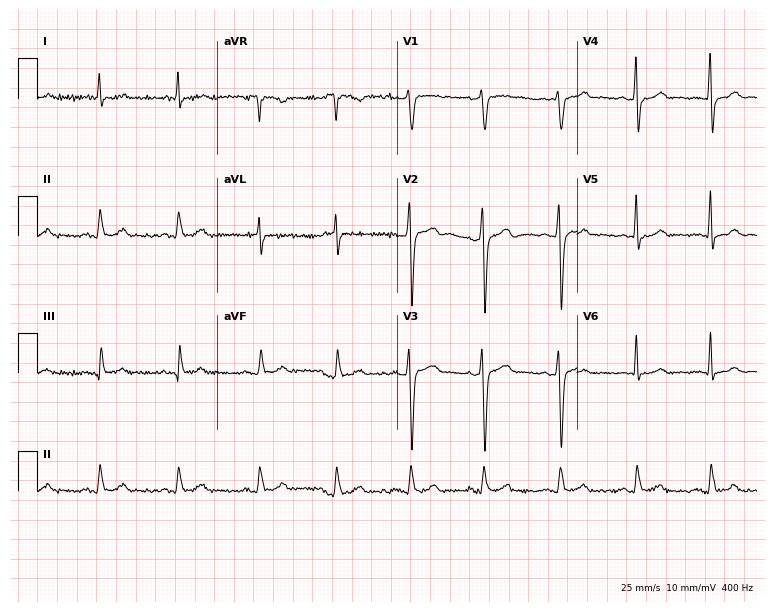
Standard 12-lead ECG recorded from a male patient, 48 years old. None of these six findings is recorded: first-degree AV block, right bundle branch block, left bundle branch block, sinus bradycardia, atrial fibrillation, sinus tachycardia. Findings outside these six are not listed.